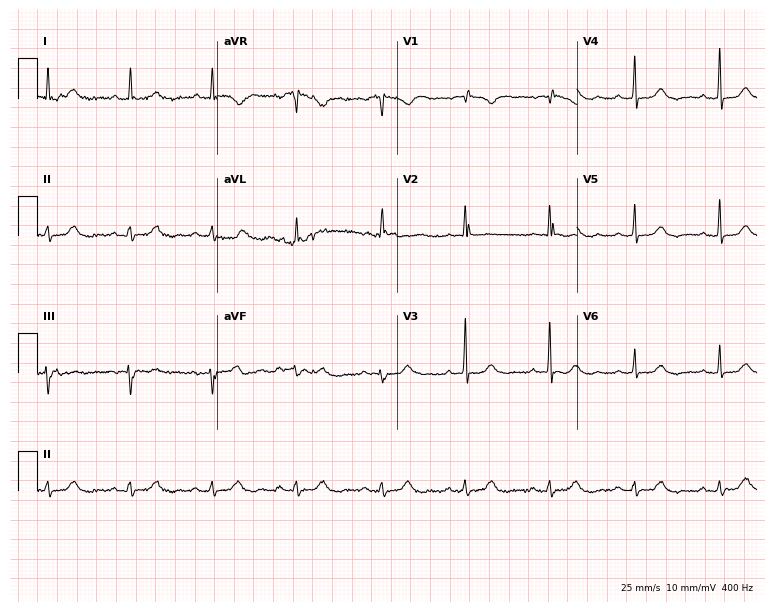
Resting 12-lead electrocardiogram. Patient: a female, 70 years old. None of these six findings is recorded: first-degree AV block, right bundle branch block, left bundle branch block, sinus bradycardia, atrial fibrillation, sinus tachycardia.